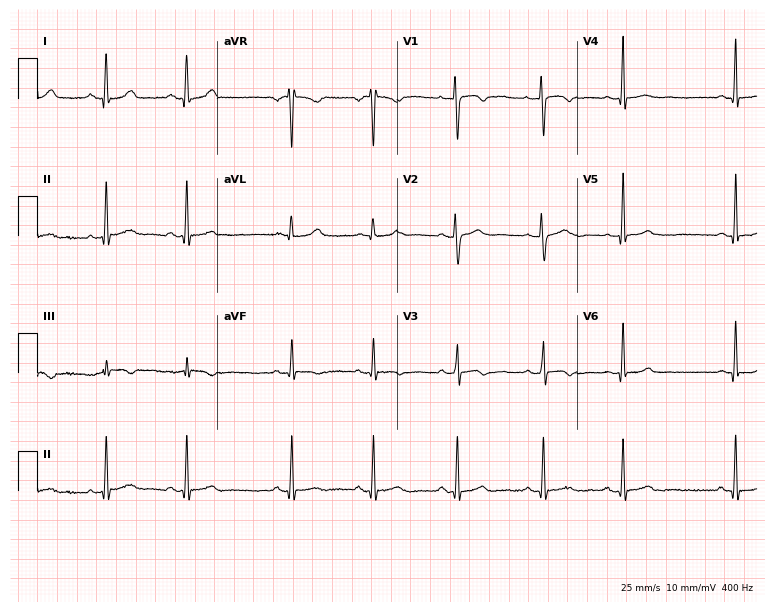
Standard 12-lead ECG recorded from a woman, 19 years old (7.3-second recording at 400 Hz). None of these six findings is recorded: first-degree AV block, right bundle branch block (RBBB), left bundle branch block (LBBB), sinus bradycardia, atrial fibrillation (AF), sinus tachycardia.